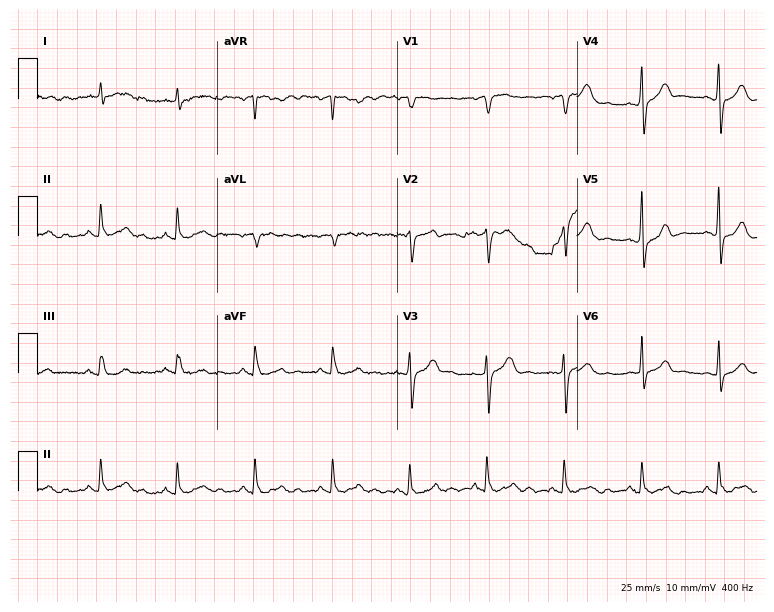
12-lead ECG from a 68-year-old male (7.3-second recording at 400 Hz). No first-degree AV block, right bundle branch block, left bundle branch block, sinus bradycardia, atrial fibrillation or sinus tachycardia recorded for this tracing.